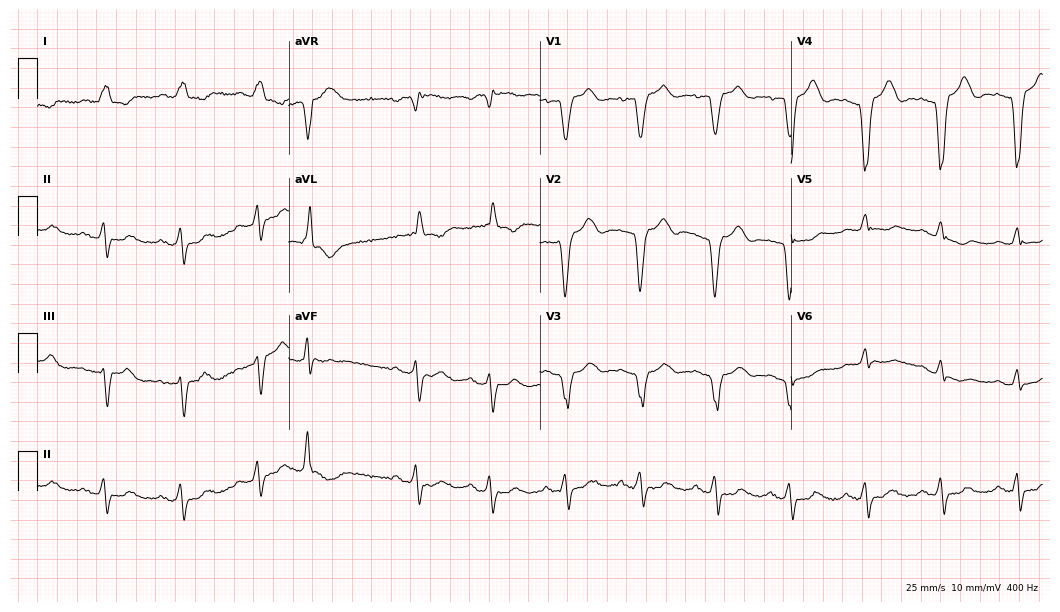
ECG (10.2-second recording at 400 Hz) — an 83-year-old woman. Screened for six findings — first-degree AV block, right bundle branch block, left bundle branch block, sinus bradycardia, atrial fibrillation, sinus tachycardia — none is recorded.